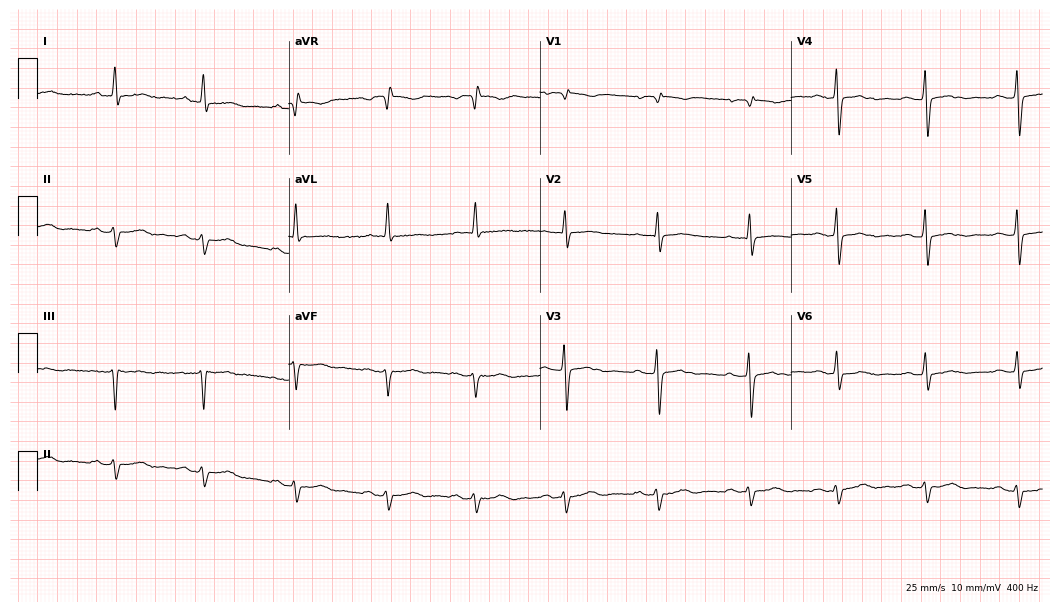
12-lead ECG from a 75-year-old man (10.2-second recording at 400 Hz). No first-degree AV block, right bundle branch block, left bundle branch block, sinus bradycardia, atrial fibrillation or sinus tachycardia recorded for this tracing.